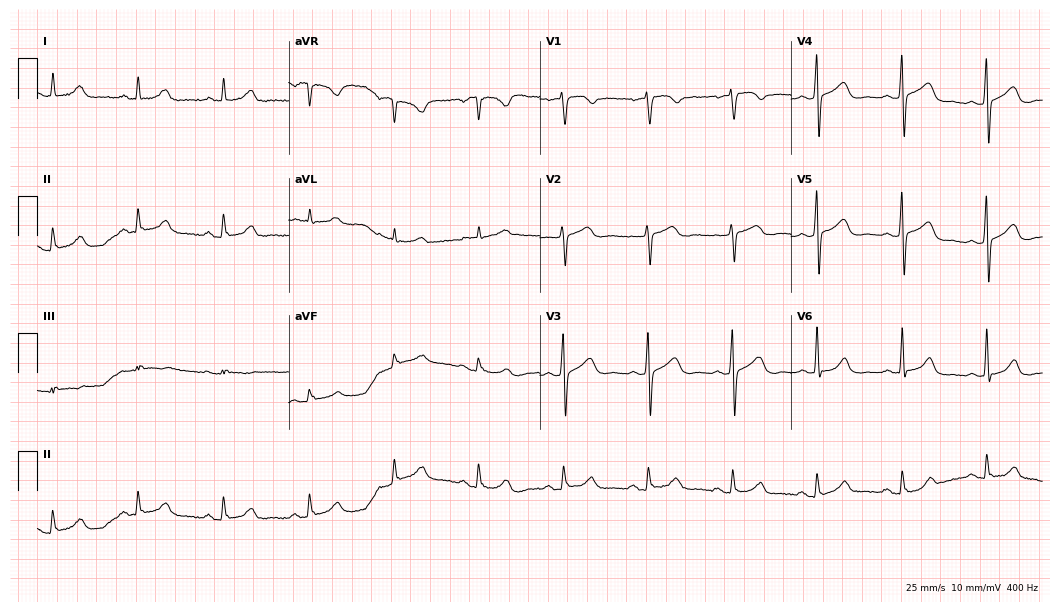
ECG (10.2-second recording at 400 Hz) — a 76-year-old female. Screened for six findings — first-degree AV block, right bundle branch block (RBBB), left bundle branch block (LBBB), sinus bradycardia, atrial fibrillation (AF), sinus tachycardia — none is recorded. Only these six findings were labelled.